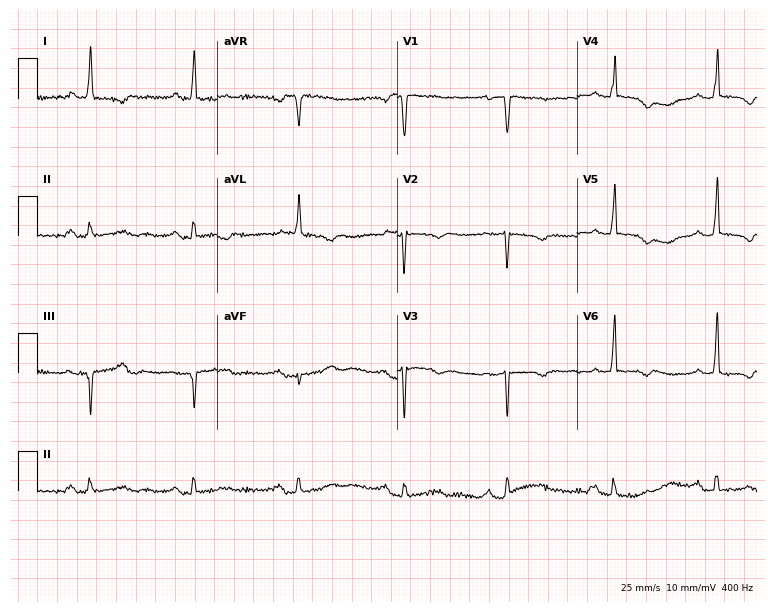
ECG (7.3-second recording at 400 Hz) — an 81-year-old woman. Findings include first-degree AV block.